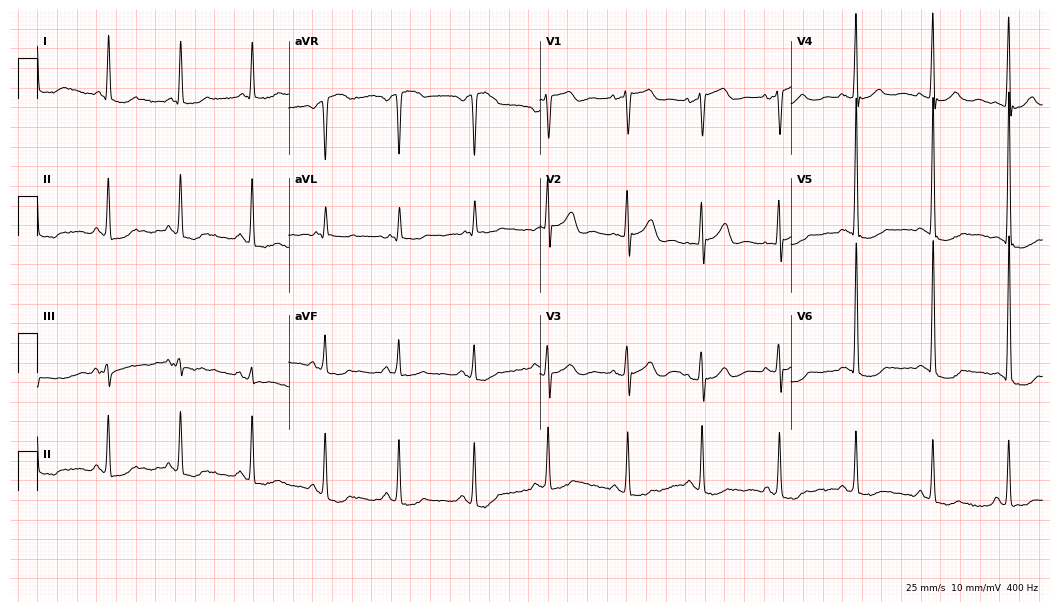
12-lead ECG from a woman, 82 years old. No first-degree AV block, right bundle branch block (RBBB), left bundle branch block (LBBB), sinus bradycardia, atrial fibrillation (AF) or sinus tachycardia recorded for this tracing. Findings outside these six are not listed.